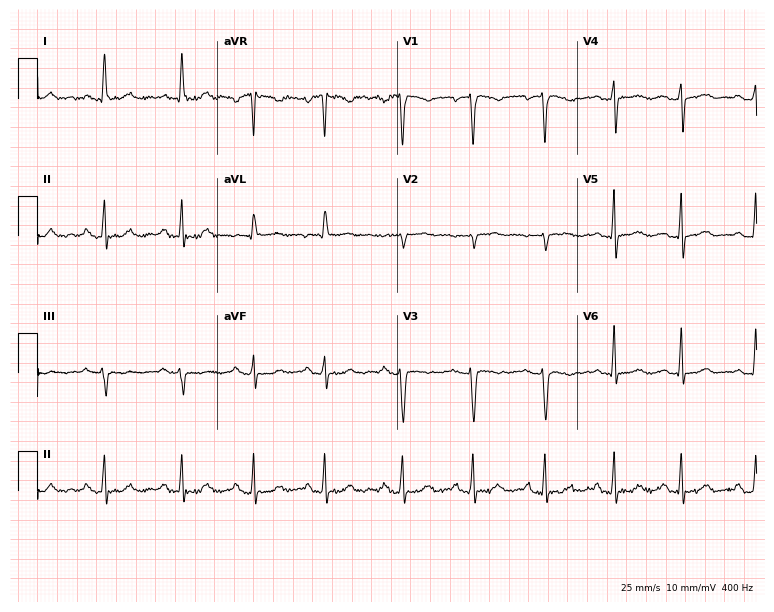
Resting 12-lead electrocardiogram (7.3-second recording at 400 Hz). Patient: a 45-year-old woman. None of these six findings is recorded: first-degree AV block, right bundle branch block, left bundle branch block, sinus bradycardia, atrial fibrillation, sinus tachycardia. Findings outside these six are not listed.